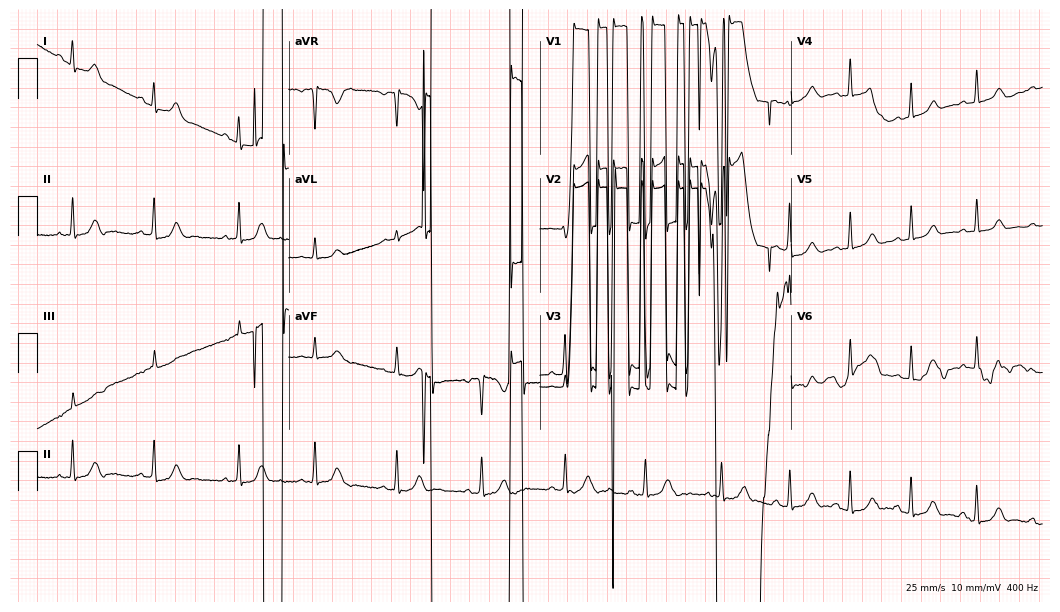
ECG (10.2-second recording at 400 Hz) — a woman, 17 years old. Screened for six findings — first-degree AV block, right bundle branch block (RBBB), left bundle branch block (LBBB), sinus bradycardia, atrial fibrillation (AF), sinus tachycardia — none is recorded.